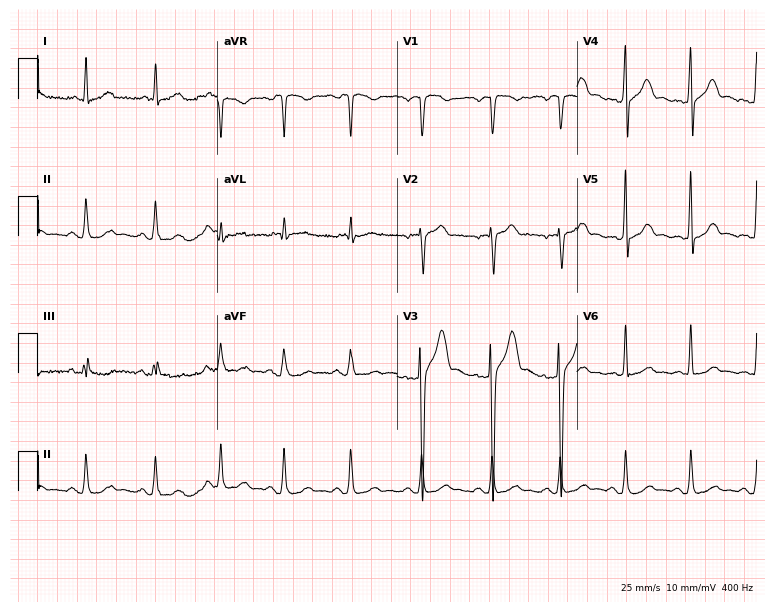
12-lead ECG from a male patient, 41 years old. Labelled as a normal ECG.